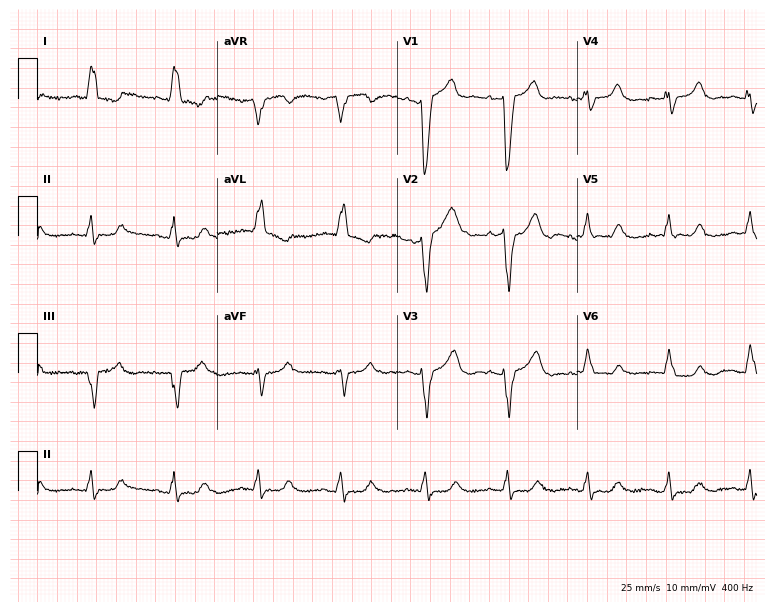
12-lead ECG from a female patient, 74 years old (7.3-second recording at 400 Hz). Shows first-degree AV block, left bundle branch block (LBBB).